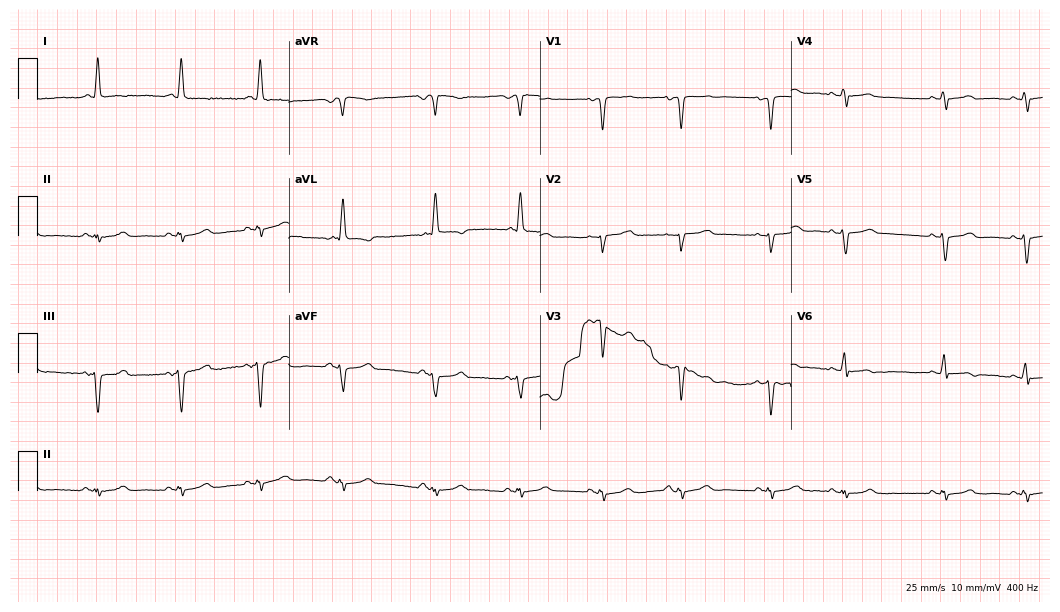
Standard 12-lead ECG recorded from a female, 78 years old (10.2-second recording at 400 Hz). None of these six findings is recorded: first-degree AV block, right bundle branch block, left bundle branch block, sinus bradycardia, atrial fibrillation, sinus tachycardia.